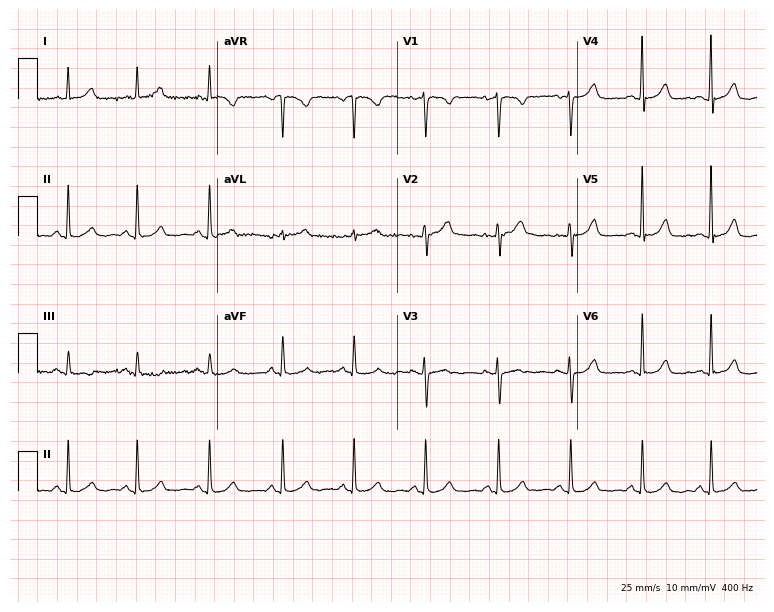
Electrocardiogram, a woman, 42 years old. Overall reading on record: normal ECG.